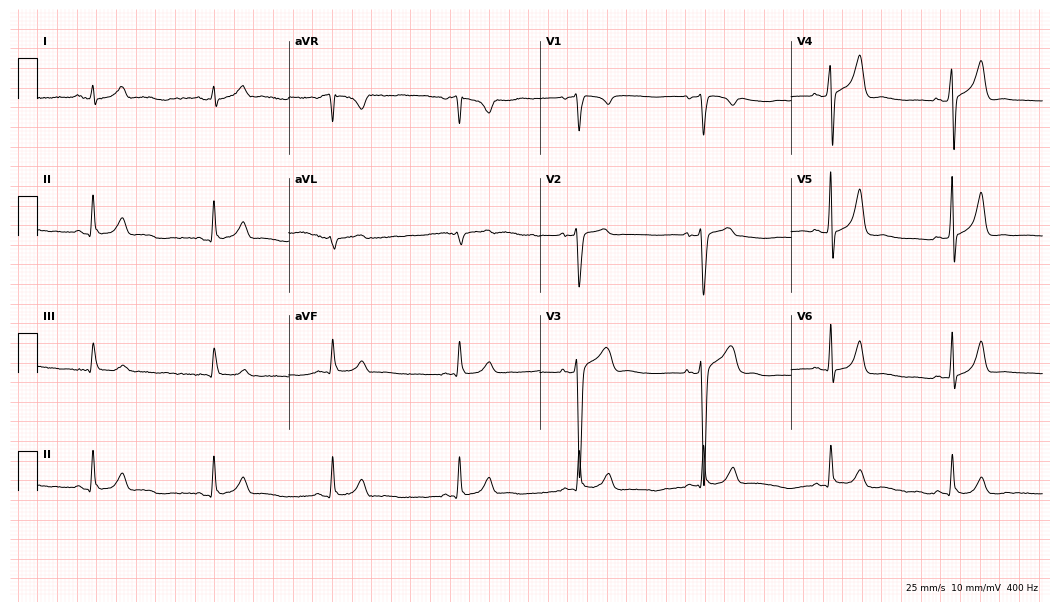
12-lead ECG (10.2-second recording at 400 Hz) from a 35-year-old male patient. Findings include sinus bradycardia (a sinus rate of 50 beats per minute or less).